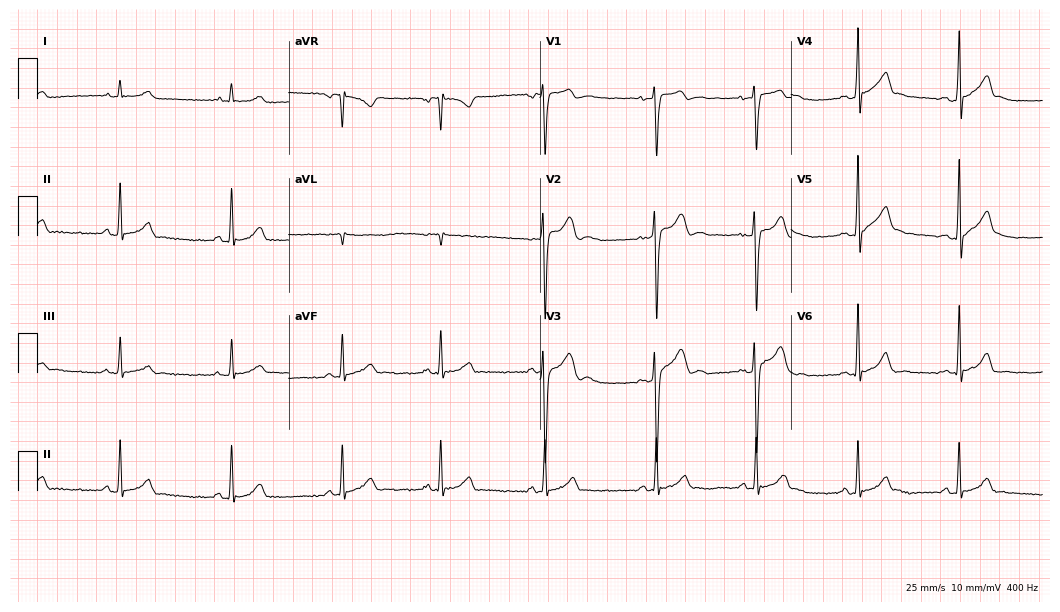
Electrocardiogram (10.2-second recording at 400 Hz), a male, 18 years old. Overall reading on record: normal ECG.